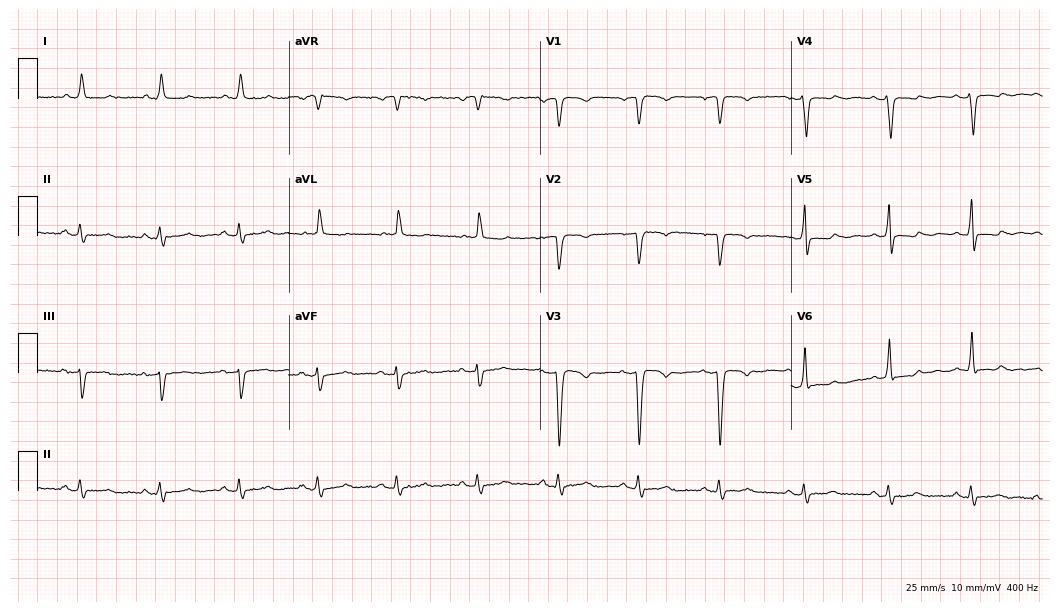
Resting 12-lead electrocardiogram. Patient: a 59-year-old female. Read as a normal ECG.